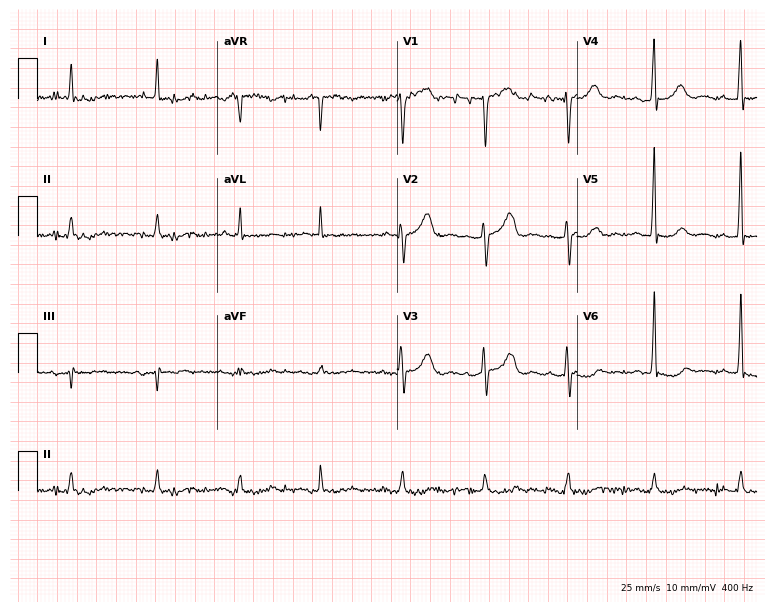
Resting 12-lead electrocardiogram (7.3-second recording at 400 Hz). Patient: a man, 76 years old. None of these six findings is recorded: first-degree AV block, right bundle branch block, left bundle branch block, sinus bradycardia, atrial fibrillation, sinus tachycardia. Only these six findings were labelled.